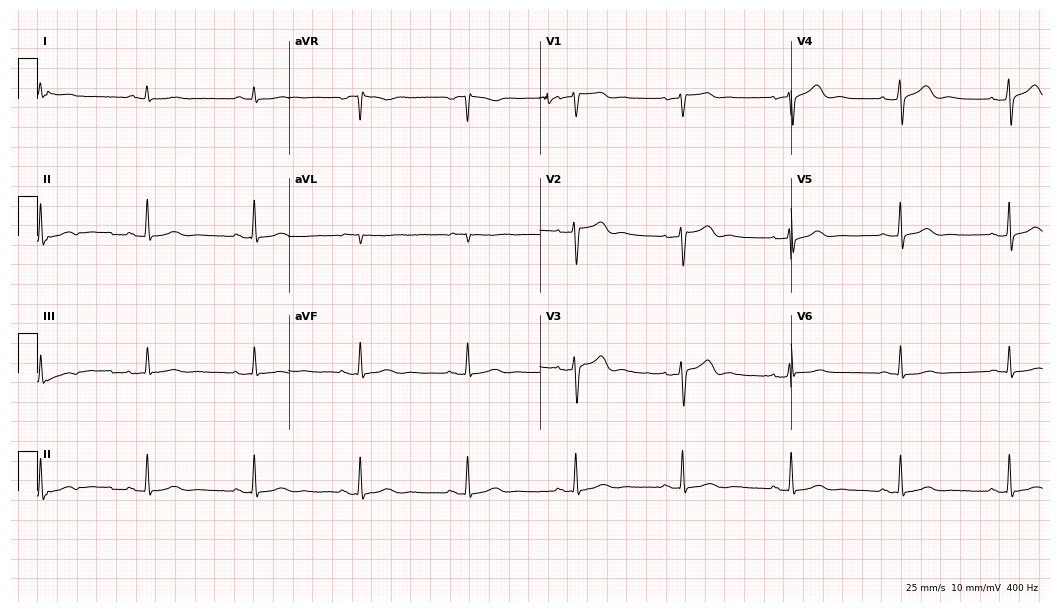
Electrocardiogram (10.2-second recording at 400 Hz), a 71-year-old man. Of the six screened findings (first-degree AV block, right bundle branch block (RBBB), left bundle branch block (LBBB), sinus bradycardia, atrial fibrillation (AF), sinus tachycardia), none is recorded.